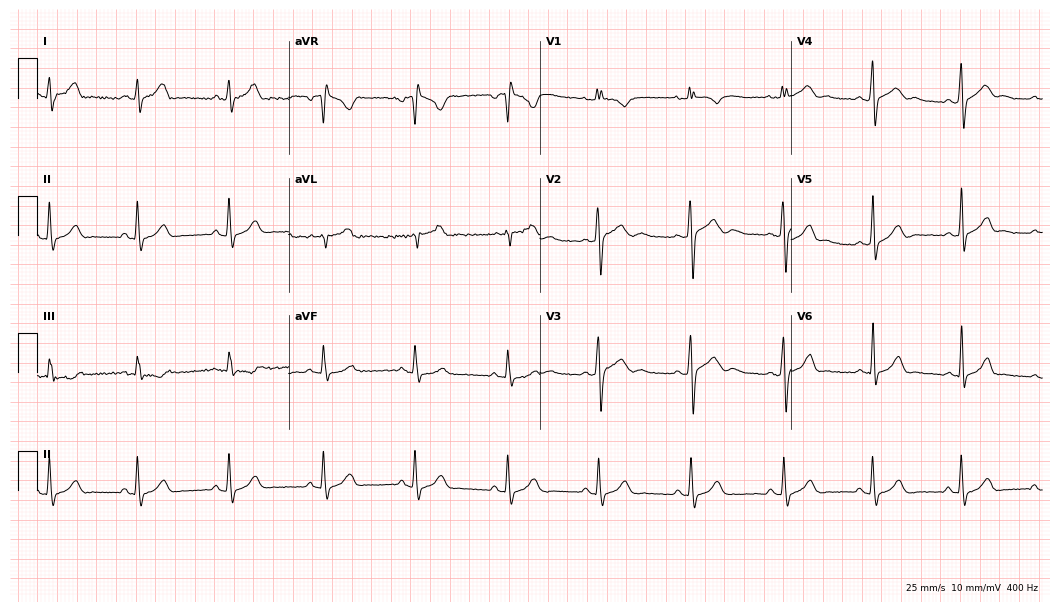
Standard 12-lead ECG recorded from a 32-year-old male patient (10.2-second recording at 400 Hz). None of these six findings is recorded: first-degree AV block, right bundle branch block, left bundle branch block, sinus bradycardia, atrial fibrillation, sinus tachycardia. Findings outside these six are not listed.